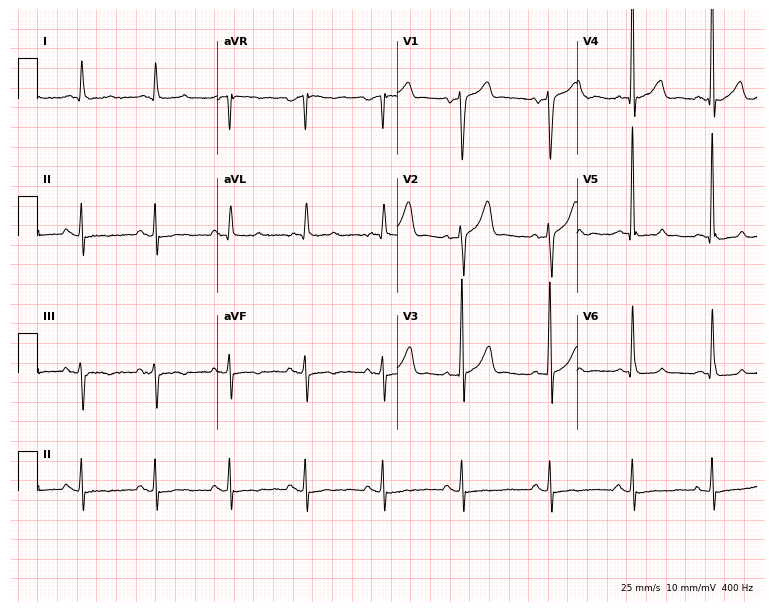
Standard 12-lead ECG recorded from an 85-year-old man (7.3-second recording at 400 Hz). None of these six findings is recorded: first-degree AV block, right bundle branch block, left bundle branch block, sinus bradycardia, atrial fibrillation, sinus tachycardia. Other findings, if any, are not listed.